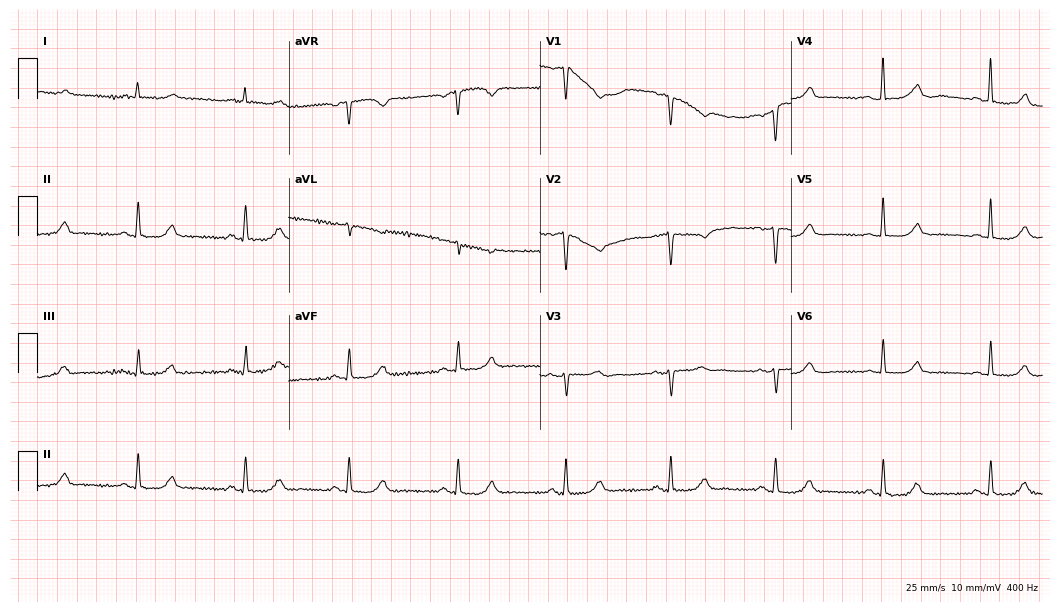
ECG — a female patient, 46 years old. Labelled as a normal ECG.